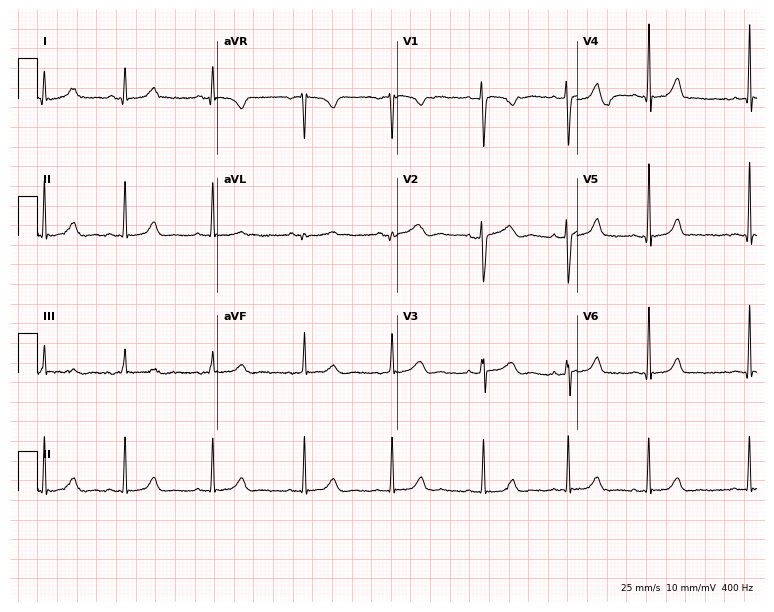
12-lead ECG from a female, 29 years old (7.3-second recording at 400 Hz). Recorded interpretation: within normal limits.